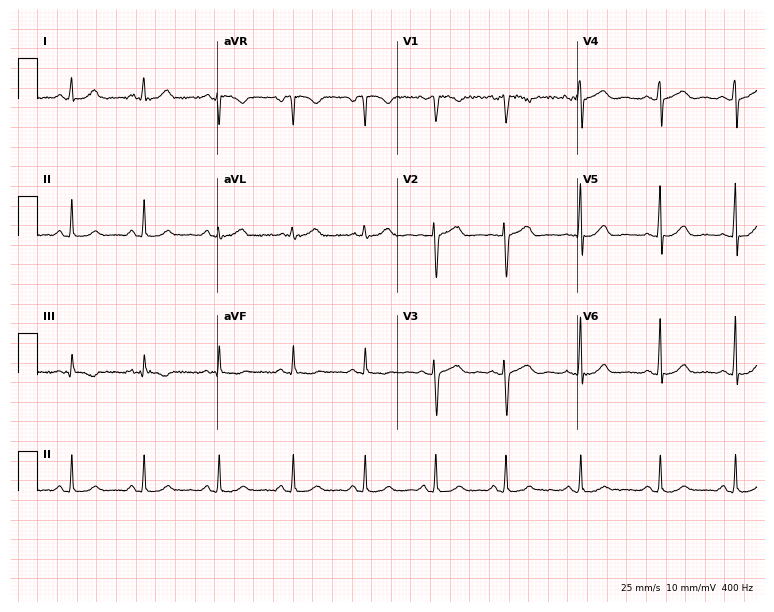
12-lead ECG from a 46-year-old female. Labelled as a normal ECG.